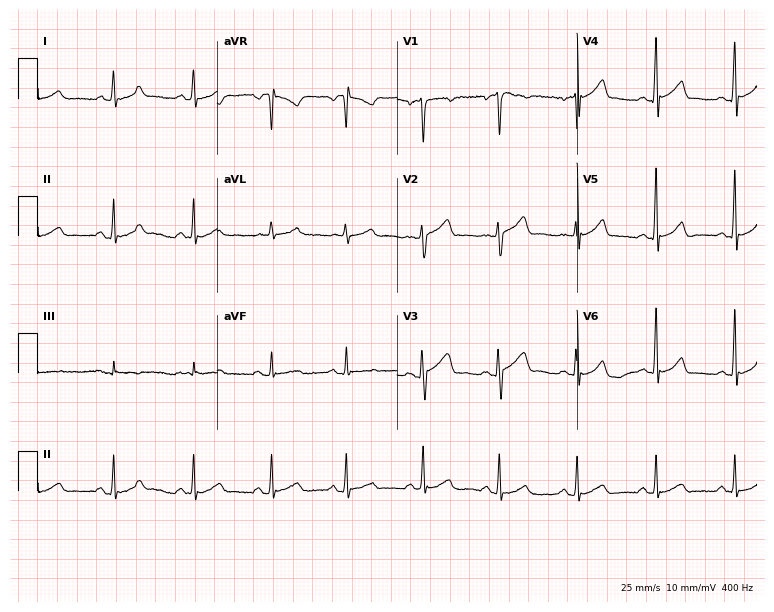
12-lead ECG from a 51-year-old male (7.3-second recording at 400 Hz). No first-degree AV block, right bundle branch block, left bundle branch block, sinus bradycardia, atrial fibrillation or sinus tachycardia recorded for this tracing. Only these six findings were labelled.